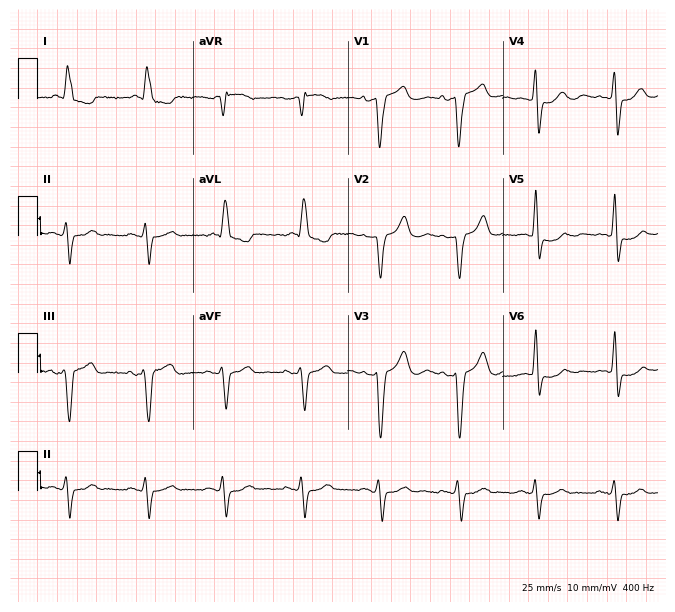
ECG (6.3-second recording at 400 Hz) — a woman, 81 years old. Findings include first-degree AV block.